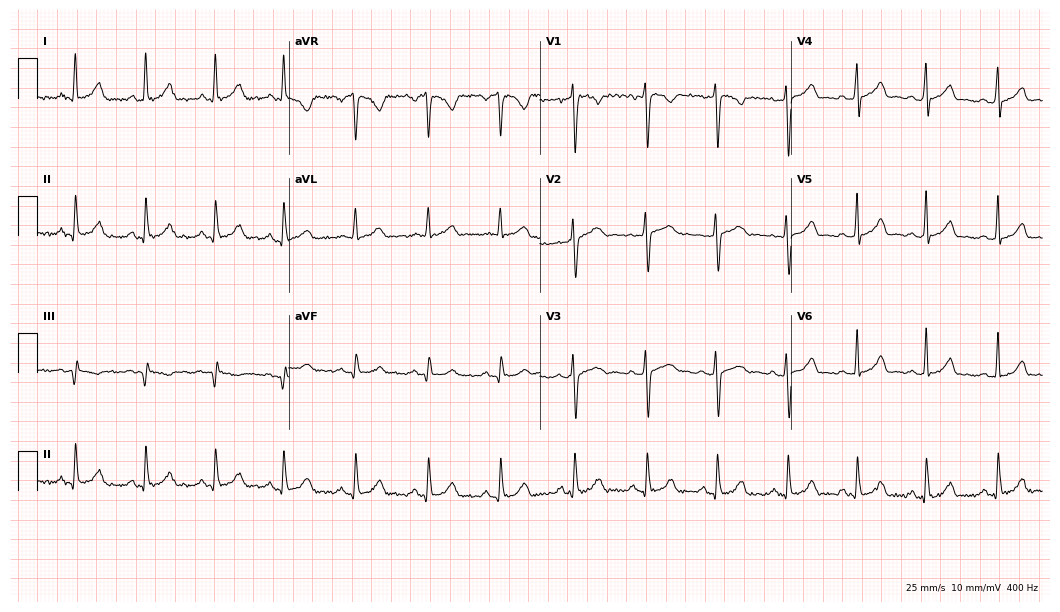
ECG (10.2-second recording at 400 Hz) — a 28-year-old female patient. Labelled as a normal ECG.